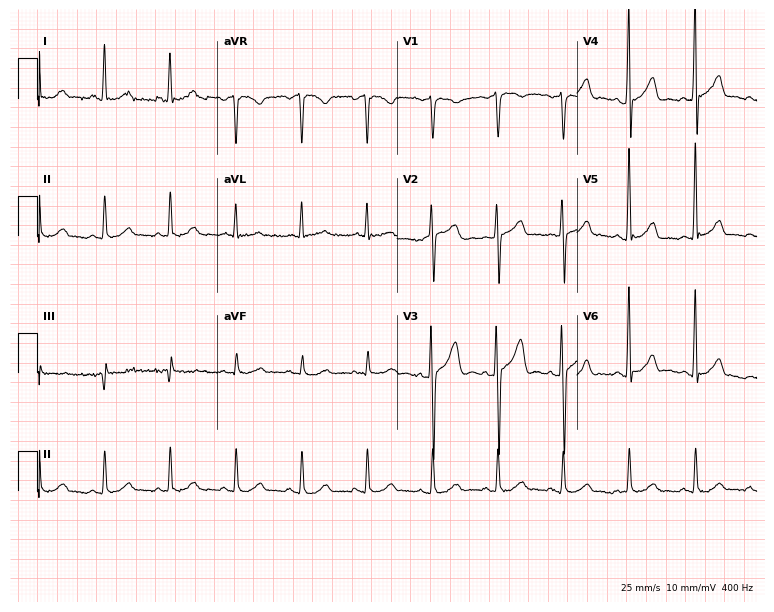
12-lead ECG from a female, 70 years old. Recorded interpretation: within normal limits.